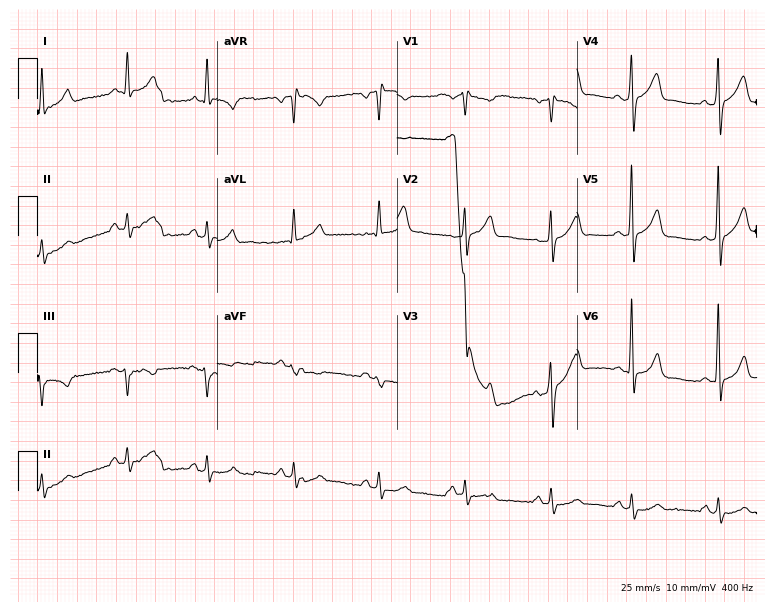
12-lead ECG from a female, 53 years old. Screened for six findings — first-degree AV block, right bundle branch block (RBBB), left bundle branch block (LBBB), sinus bradycardia, atrial fibrillation (AF), sinus tachycardia — none is recorded.